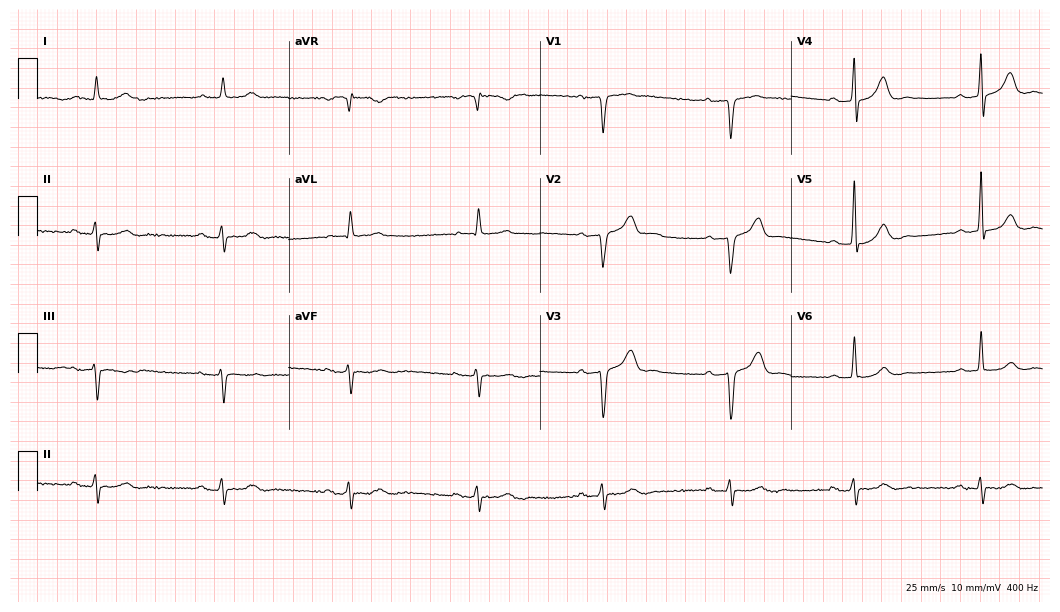
12-lead ECG from an 85-year-old female patient (10.2-second recording at 400 Hz). No first-degree AV block, right bundle branch block, left bundle branch block, sinus bradycardia, atrial fibrillation or sinus tachycardia recorded for this tracing.